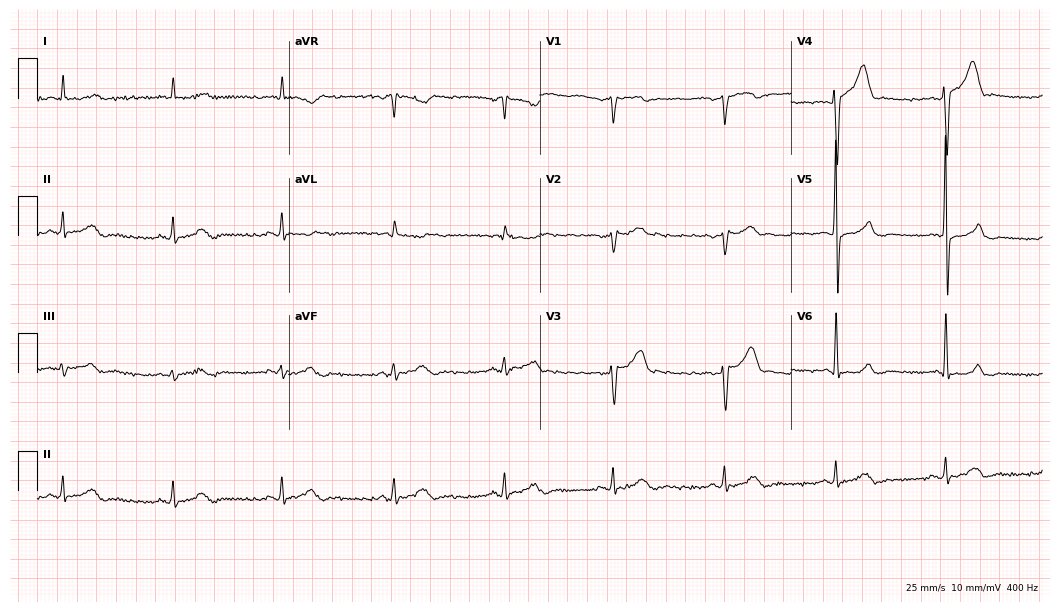
12-lead ECG from a male patient, 53 years old. No first-degree AV block, right bundle branch block (RBBB), left bundle branch block (LBBB), sinus bradycardia, atrial fibrillation (AF) or sinus tachycardia recorded for this tracing.